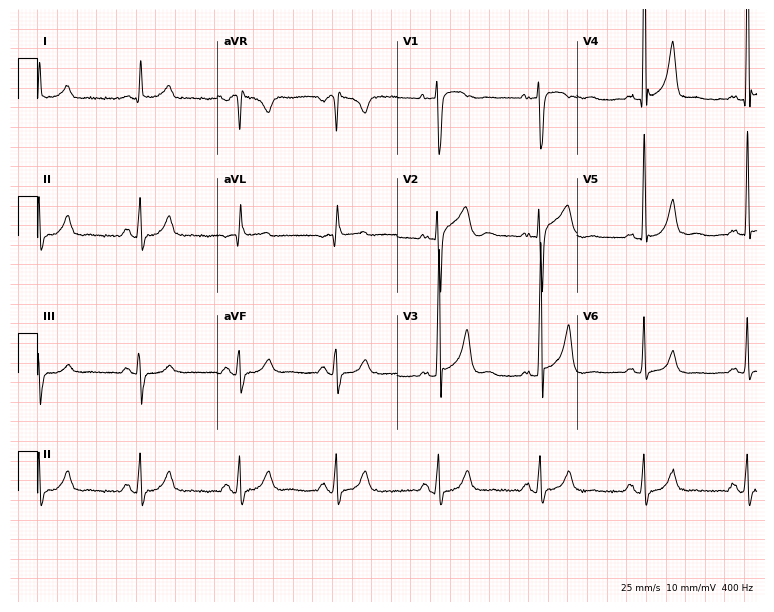
Electrocardiogram, a man, 51 years old. Overall reading on record: normal ECG.